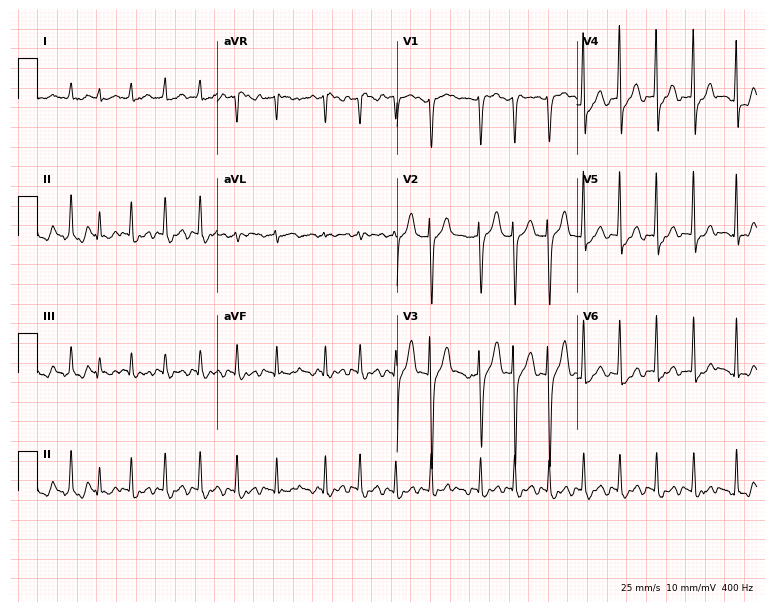
Resting 12-lead electrocardiogram. Patient: a 66-year-old man. None of these six findings is recorded: first-degree AV block, right bundle branch block (RBBB), left bundle branch block (LBBB), sinus bradycardia, atrial fibrillation (AF), sinus tachycardia. Other findings, if any, are not listed.